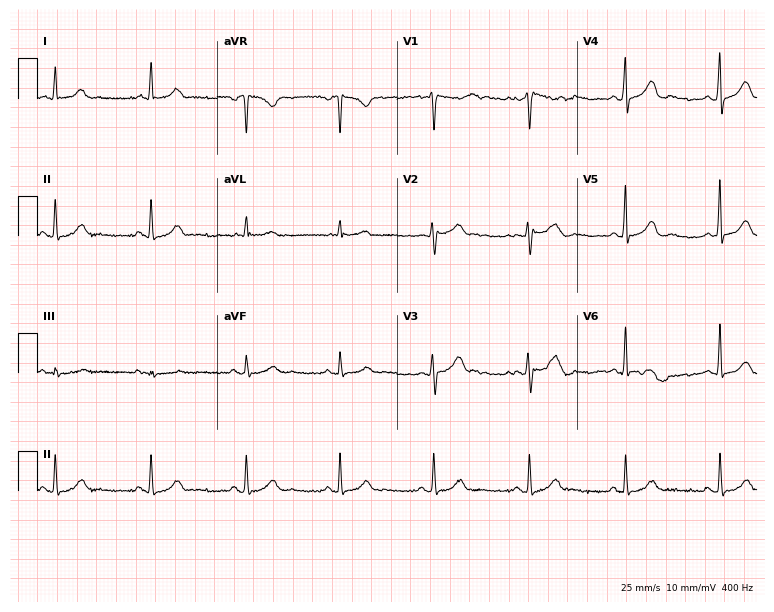
Electrocardiogram, a 52-year-old female patient. Overall reading on record: normal ECG.